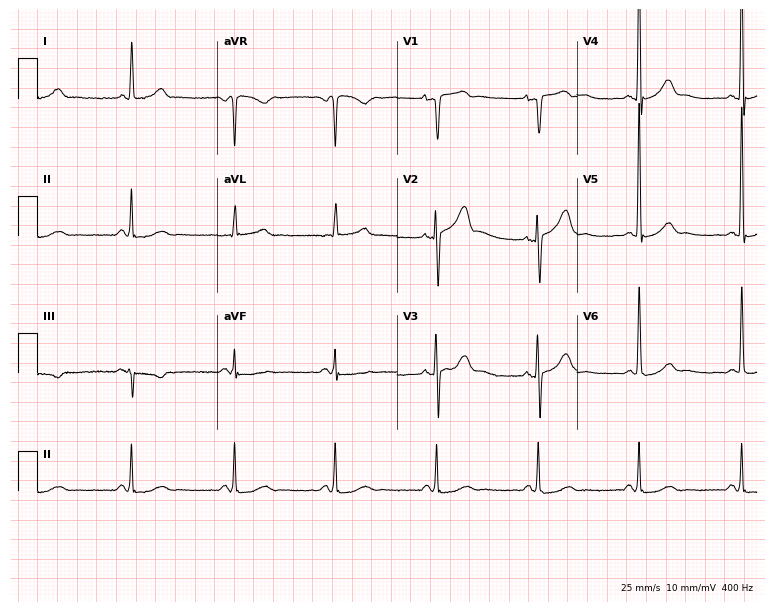
Electrocardiogram, a man, 64 years old. Overall reading on record: normal ECG.